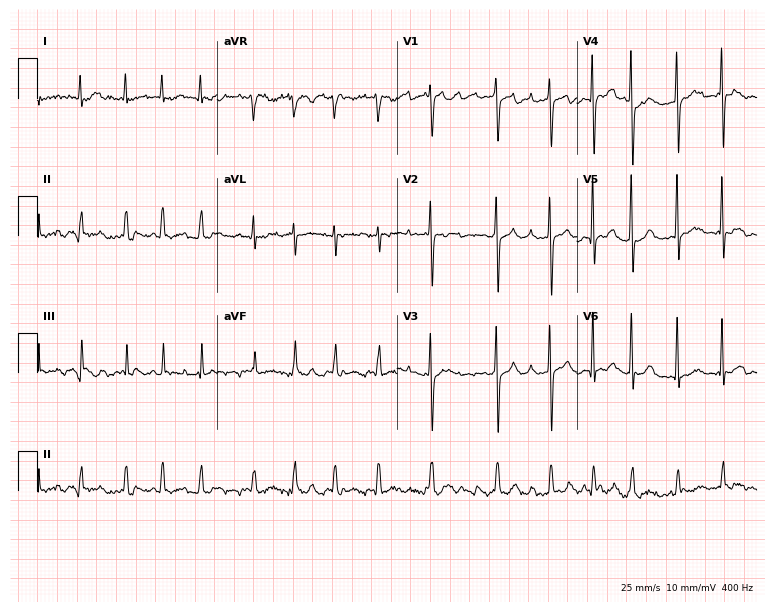
Standard 12-lead ECG recorded from a female patient, 77 years old (7.3-second recording at 400 Hz). The tracing shows atrial fibrillation.